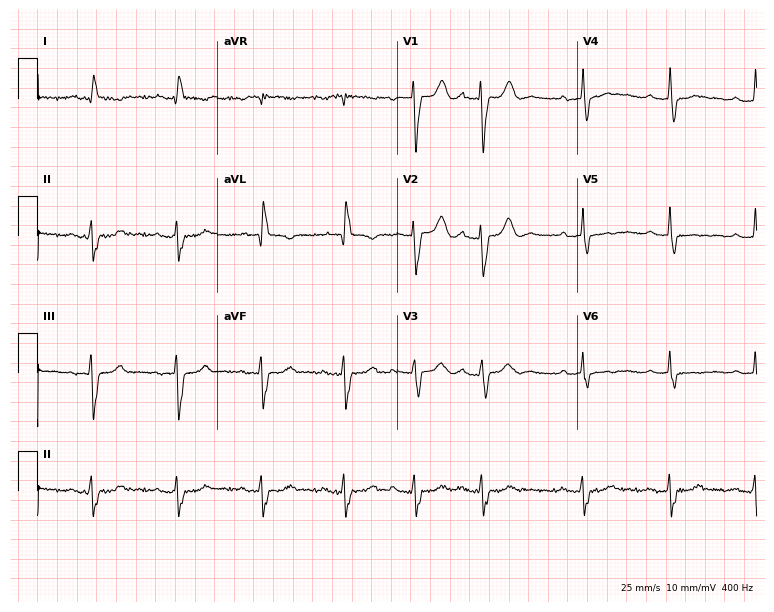
12-lead ECG from a woman, 70 years old (7.3-second recording at 400 Hz). No first-degree AV block, right bundle branch block, left bundle branch block, sinus bradycardia, atrial fibrillation or sinus tachycardia recorded for this tracing.